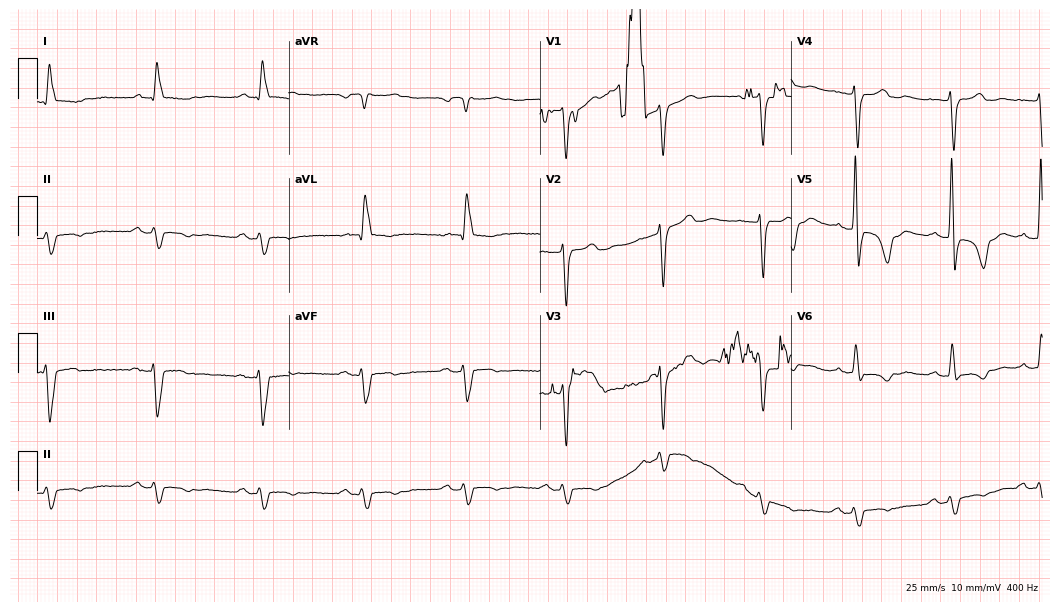
12-lead ECG from a male patient, 84 years old (10.2-second recording at 400 Hz). Shows first-degree AV block.